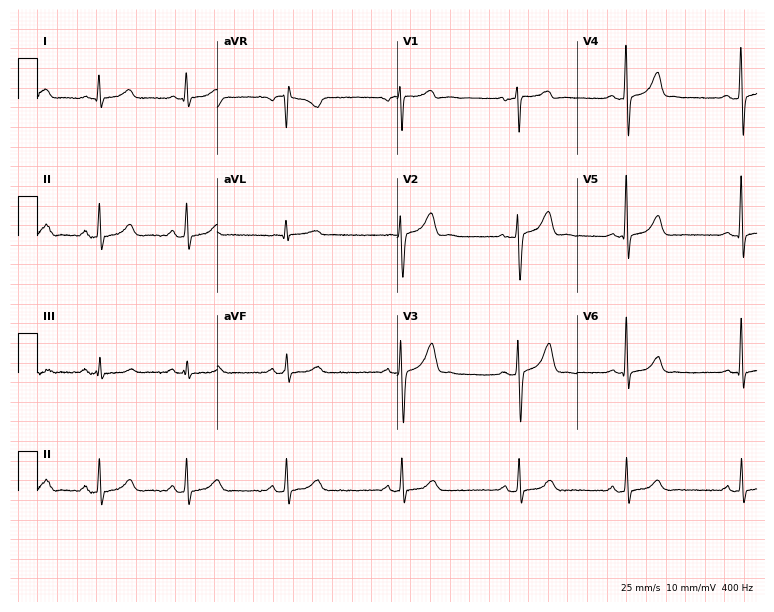
Resting 12-lead electrocardiogram (7.3-second recording at 400 Hz). Patient: a woman, 37 years old. Read as a normal ECG.